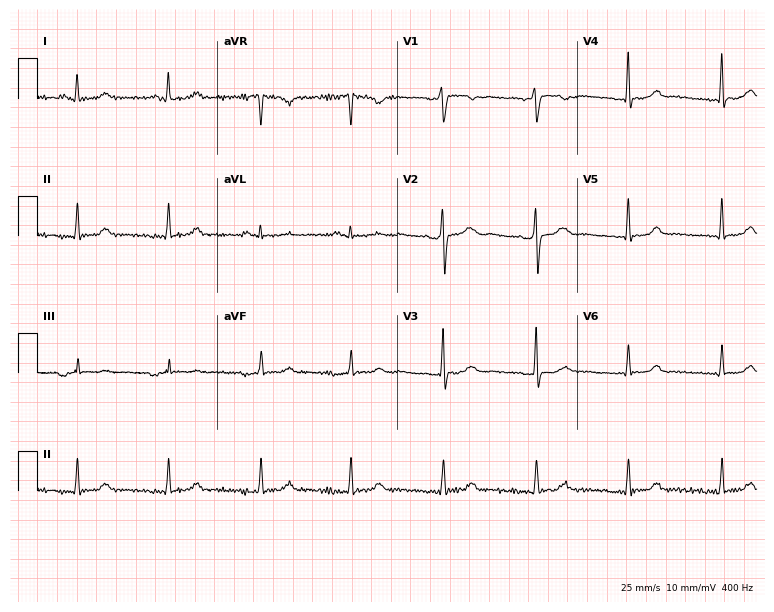
Resting 12-lead electrocardiogram. Patient: a female, 37 years old. Read as a normal ECG.